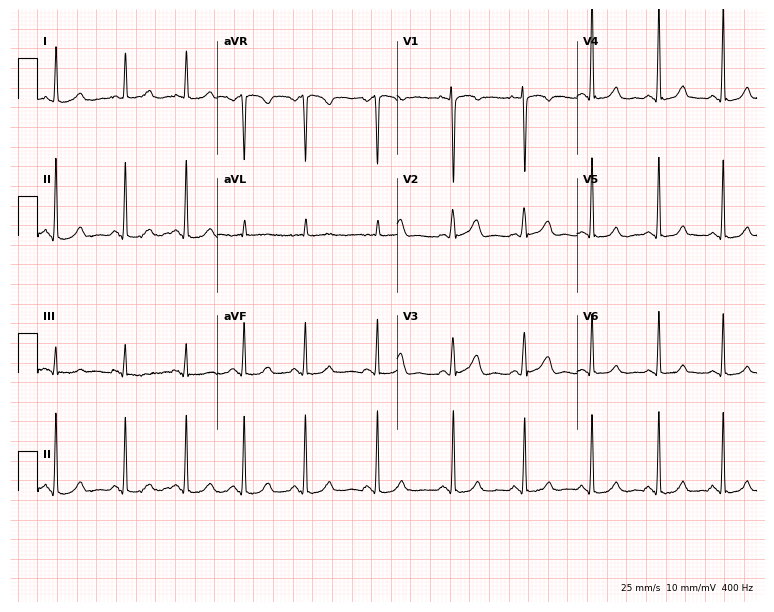
Standard 12-lead ECG recorded from a 22-year-old female patient. Read as a normal ECG.